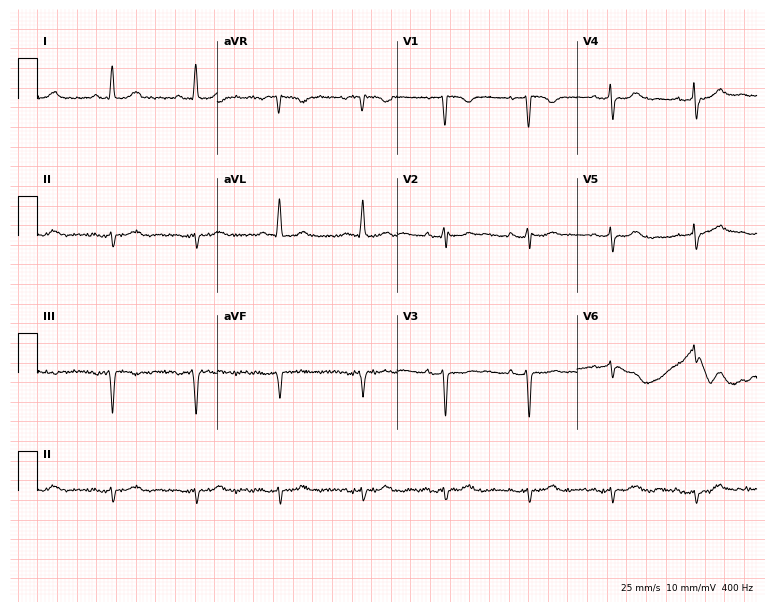
Resting 12-lead electrocardiogram (7.3-second recording at 400 Hz). Patient: a woman, 82 years old. None of these six findings is recorded: first-degree AV block, right bundle branch block (RBBB), left bundle branch block (LBBB), sinus bradycardia, atrial fibrillation (AF), sinus tachycardia.